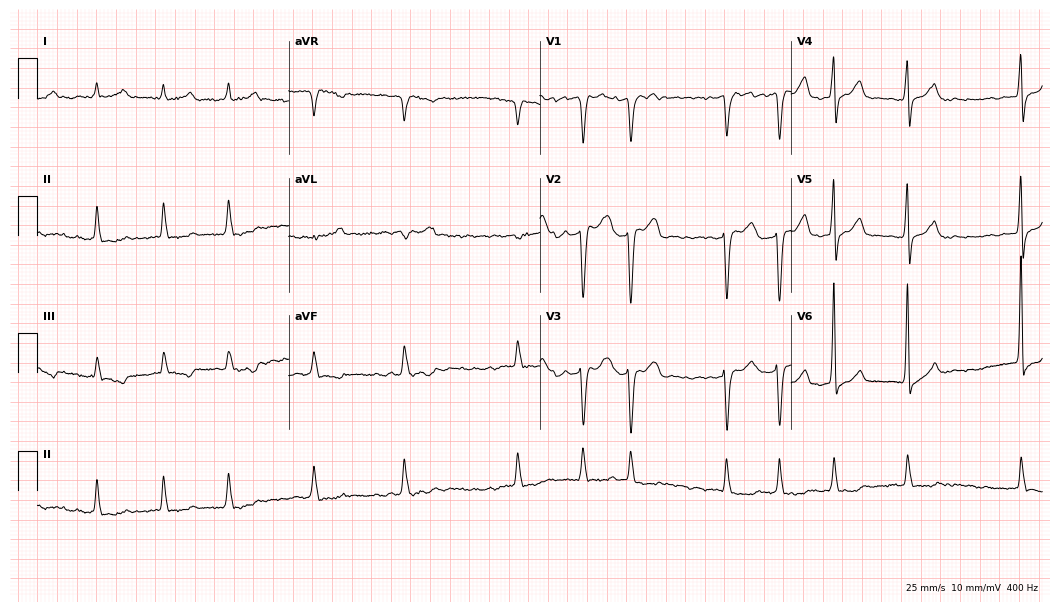
Resting 12-lead electrocardiogram (10.2-second recording at 400 Hz). Patient: a woman, 80 years old. The tracing shows atrial fibrillation.